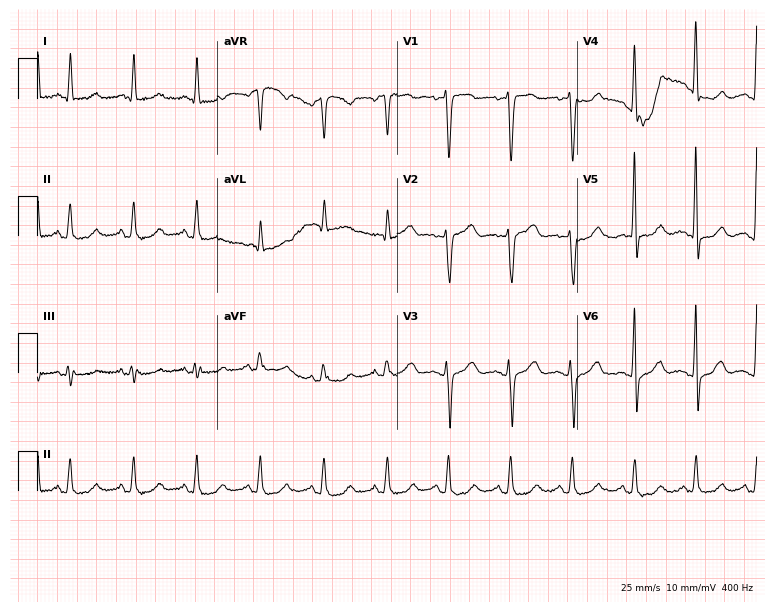
Standard 12-lead ECG recorded from a female, 80 years old (7.3-second recording at 400 Hz). Read as a normal ECG.